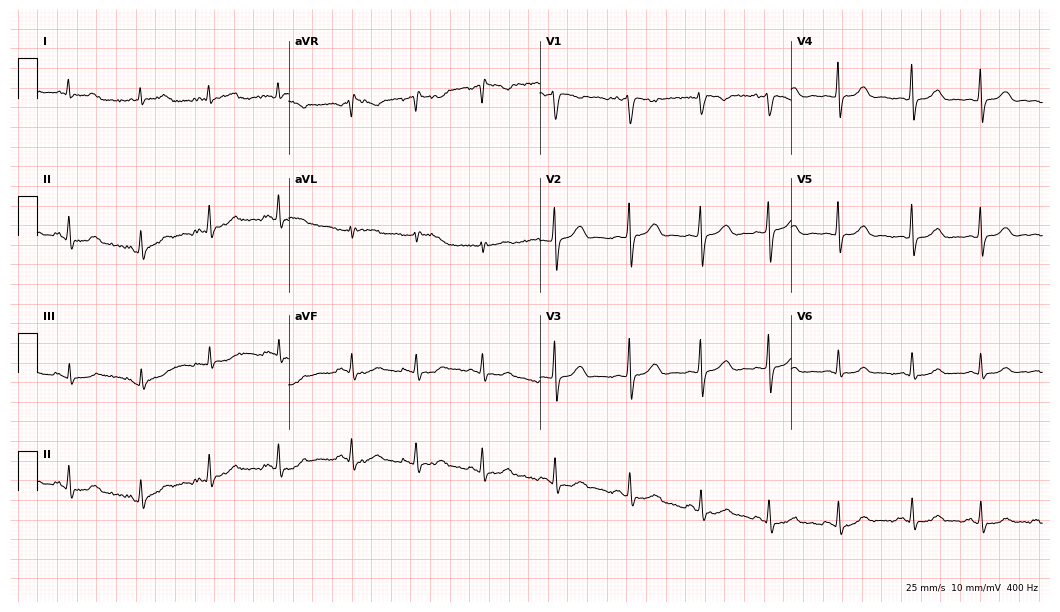
ECG (10.2-second recording at 400 Hz) — a female, 31 years old. Screened for six findings — first-degree AV block, right bundle branch block (RBBB), left bundle branch block (LBBB), sinus bradycardia, atrial fibrillation (AF), sinus tachycardia — none is recorded. Findings outside these six are not listed.